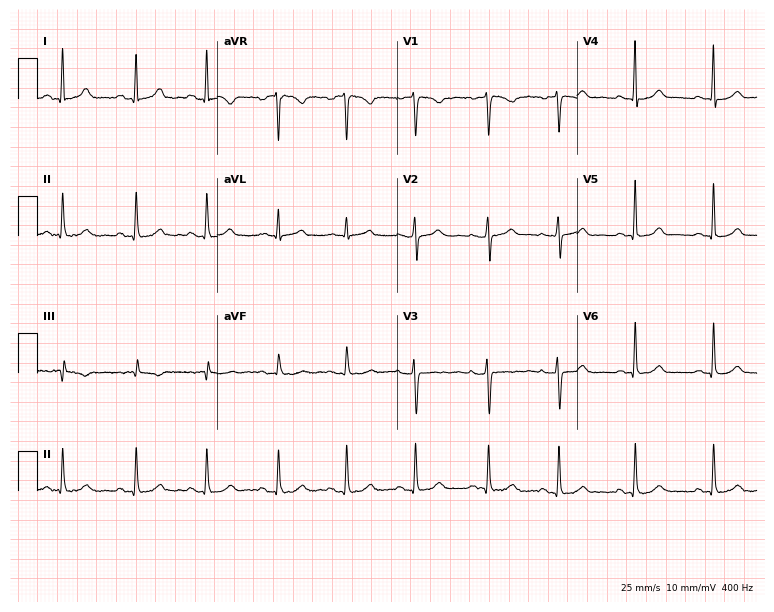
12-lead ECG from a female, 25 years old. Labelled as a normal ECG.